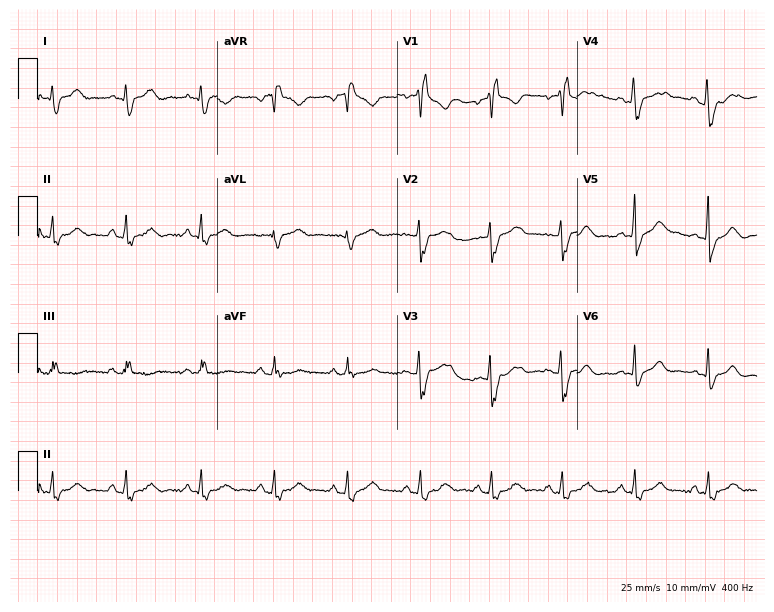
ECG — a 33-year-old female patient. Findings include right bundle branch block (RBBB).